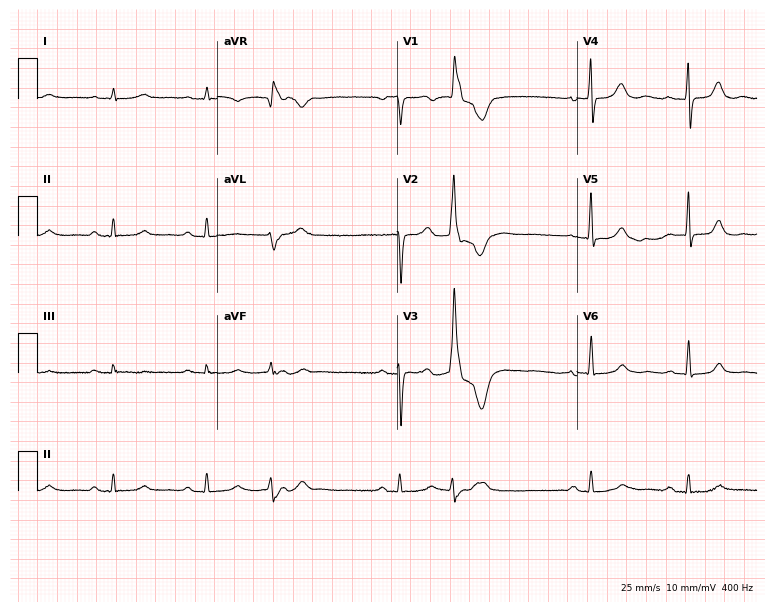
ECG — a woman, 82 years old. Screened for six findings — first-degree AV block, right bundle branch block, left bundle branch block, sinus bradycardia, atrial fibrillation, sinus tachycardia — none is recorded. Findings outside these six are not listed.